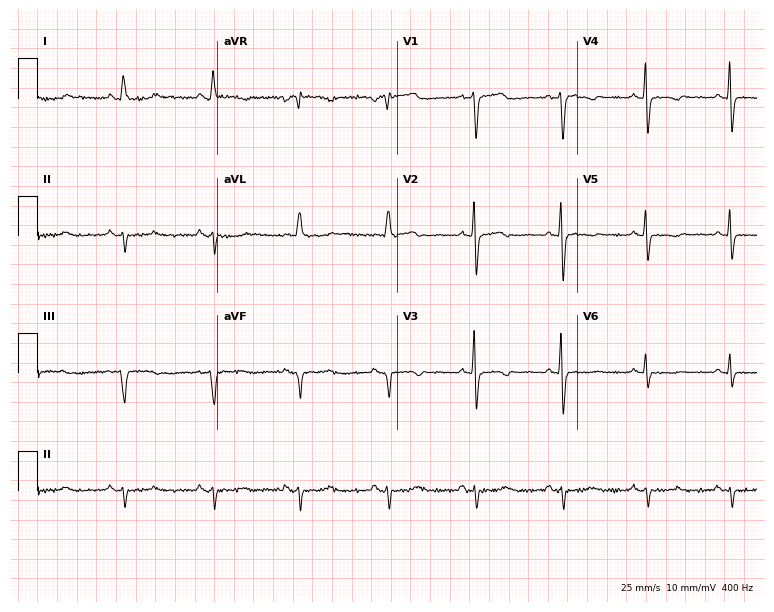
Standard 12-lead ECG recorded from a woman, 71 years old. None of these six findings is recorded: first-degree AV block, right bundle branch block, left bundle branch block, sinus bradycardia, atrial fibrillation, sinus tachycardia. Findings outside these six are not listed.